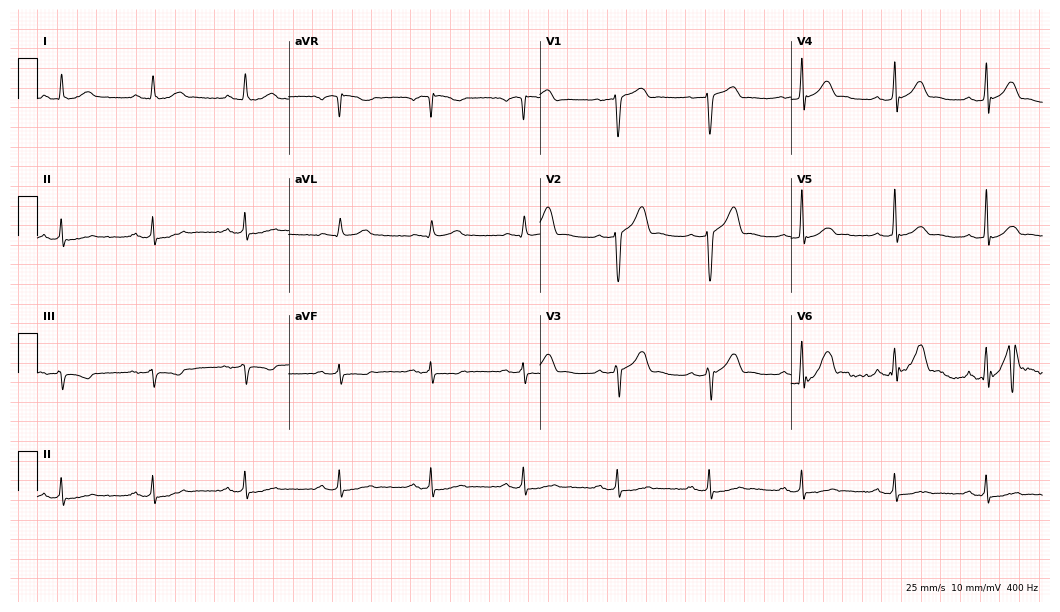
Resting 12-lead electrocardiogram. Patient: a 52-year-old male. None of these six findings is recorded: first-degree AV block, right bundle branch block (RBBB), left bundle branch block (LBBB), sinus bradycardia, atrial fibrillation (AF), sinus tachycardia.